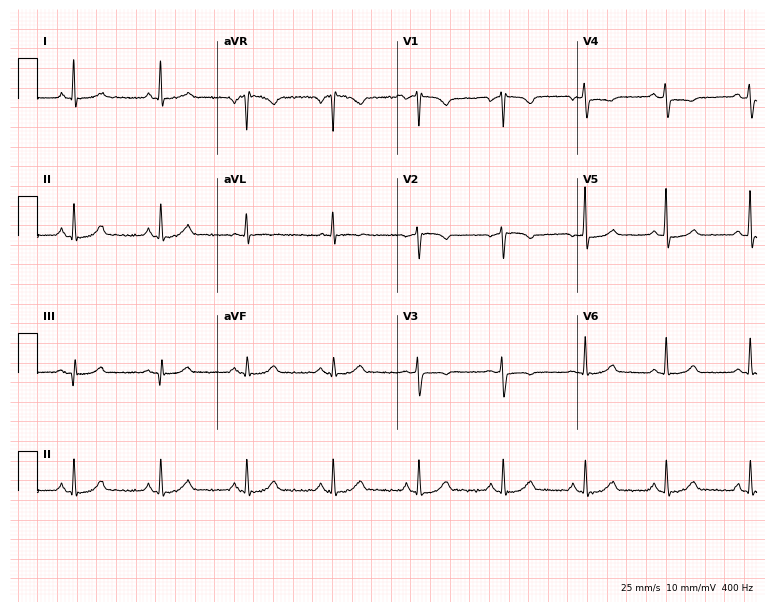
Resting 12-lead electrocardiogram. Patient: a female, 64 years old. Read as a normal ECG.